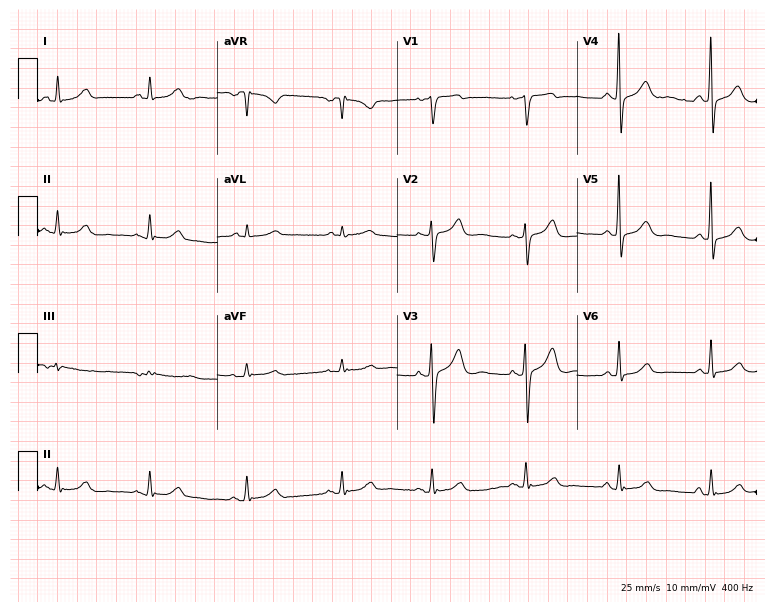
Standard 12-lead ECG recorded from a 71-year-old female. None of these six findings is recorded: first-degree AV block, right bundle branch block, left bundle branch block, sinus bradycardia, atrial fibrillation, sinus tachycardia.